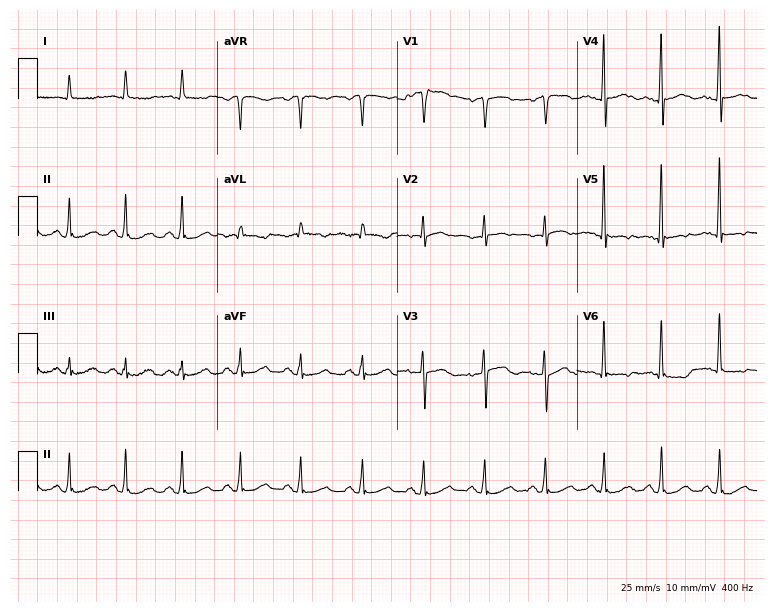
12-lead ECG from a 75-year-old female patient. No first-degree AV block, right bundle branch block, left bundle branch block, sinus bradycardia, atrial fibrillation or sinus tachycardia recorded for this tracing. Other findings, if any, are not listed.